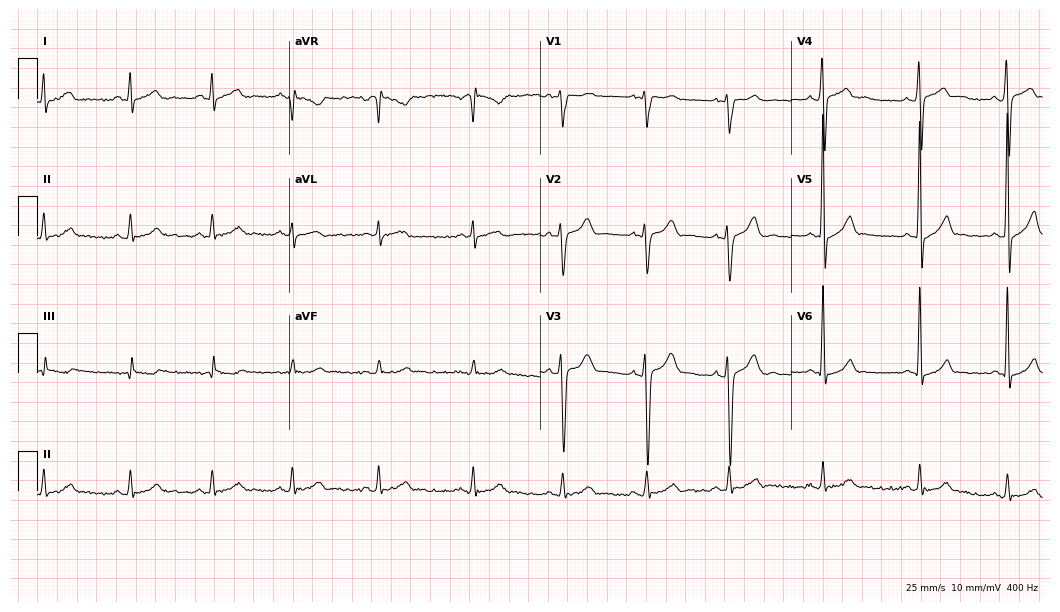
Standard 12-lead ECG recorded from an 18-year-old male patient (10.2-second recording at 400 Hz). Read as a normal ECG.